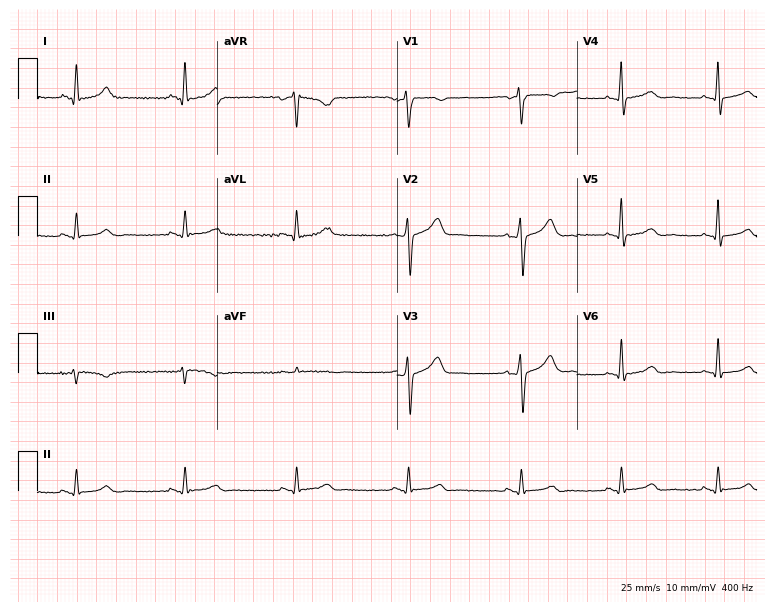
Standard 12-lead ECG recorded from a 43-year-old man. None of these six findings is recorded: first-degree AV block, right bundle branch block, left bundle branch block, sinus bradycardia, atrial fibrillation, sinus tachycardia. Other findings, if any, are not listed.